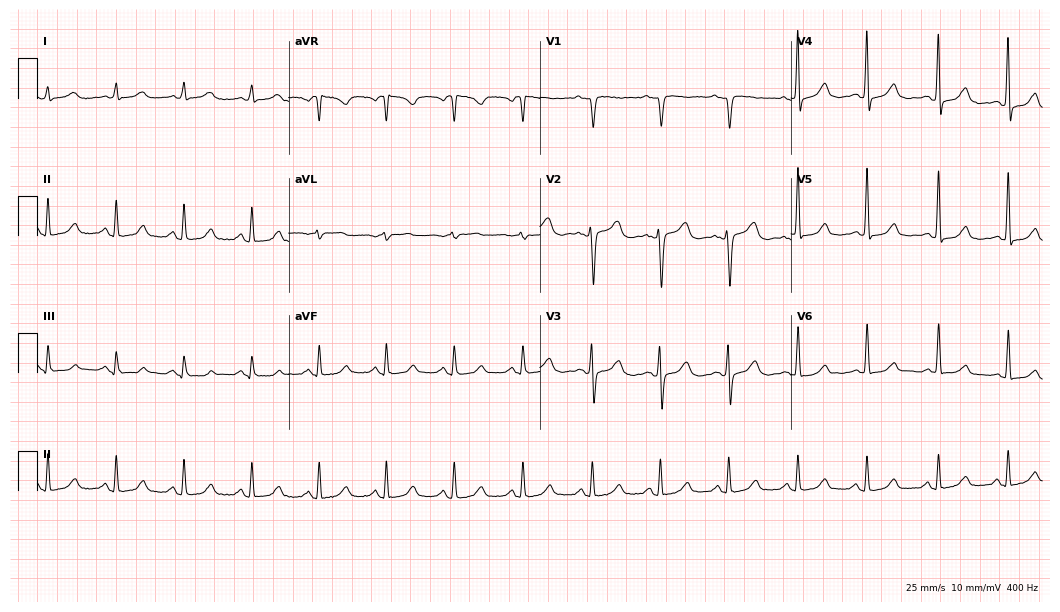
12-lead ECG (10.2-second recording at 400 Hz) from a 67-year-old female. Labelled as a normal ECG.